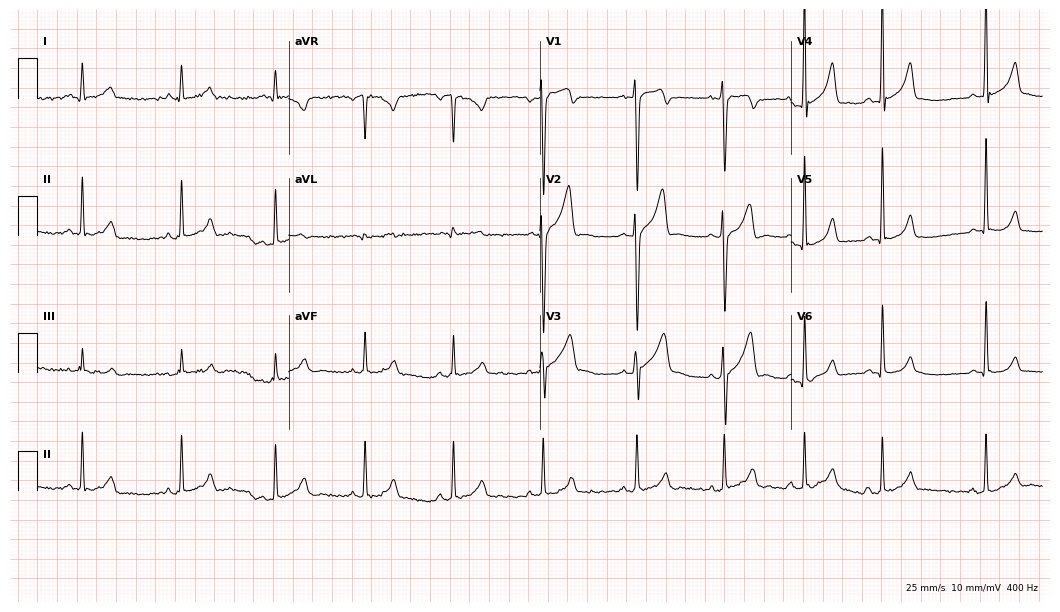
Electrocardiogram, a male, 17 years old. Overall reading on record: normal ECG.